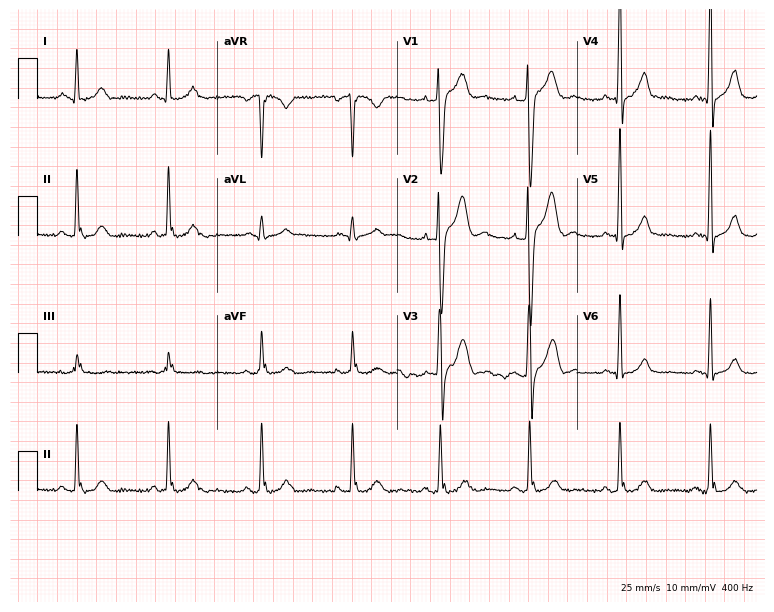
Resting 12-lead electrocardiogram. Patient: a 30-year-old male. None of these six findings is recorded: first-degree AV block, right bundle branch block, left bundle branch block, sinus bradycardia, atrial fibrillation, sinus tachycardia.